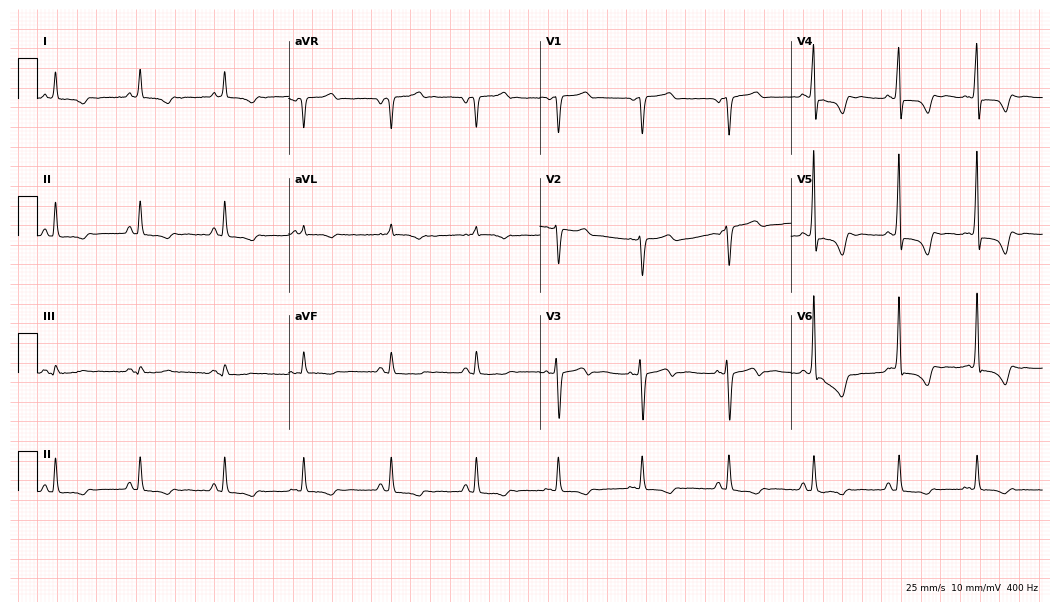
Electrocardiogram (10.2-second recording at 400 Hz), a 69-year-old man. Of the six screened findings (first-degree AV block, right bundle branch block (RBBB), left bundle branch block (LBBB), sinus bradycardia, atrial fibrillation (AF), sinus tachycardia), none is recorded. Other findings, if any, are not listed.